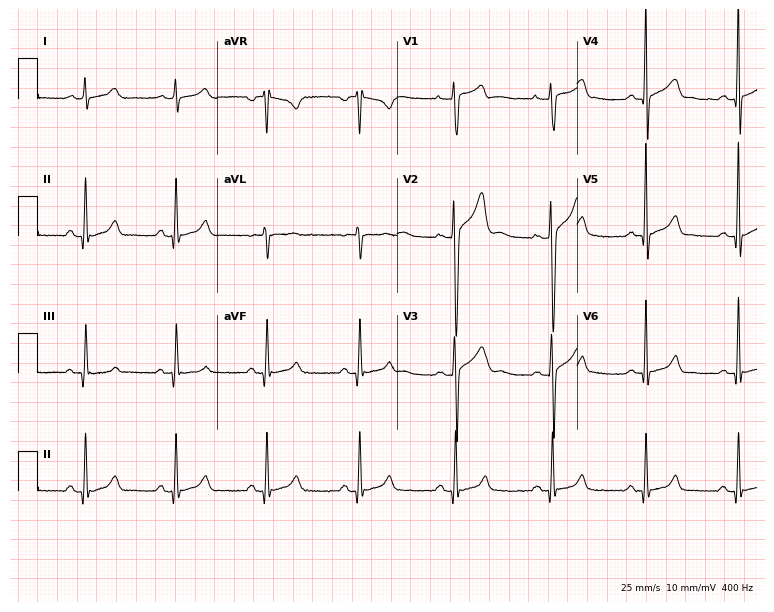
Resting 12-lead electrocardiogram (7.3-second recording at 400 Hz). Patient: a man, 24 years old. Read as a normal ECG.